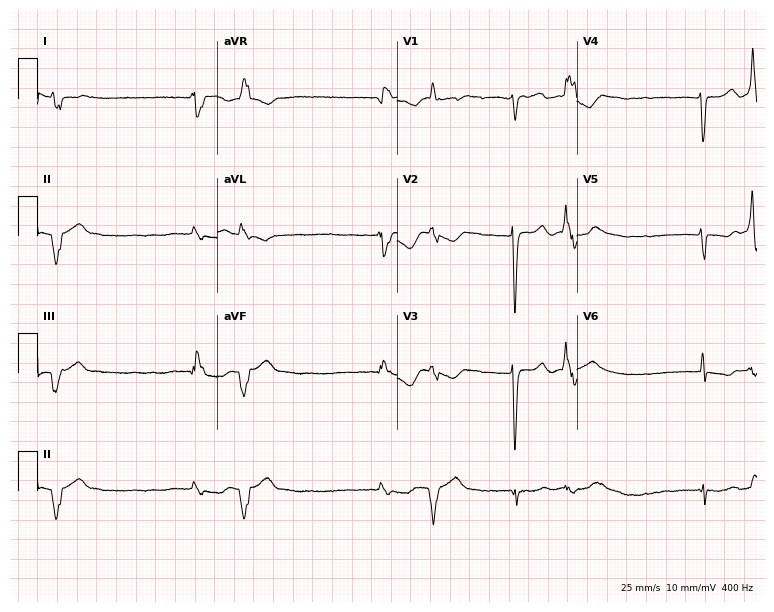
12-lead ECG from a 69-year-old male patient (7.3-second recording at 400 Hz). No first-degree AV block, right bundle branch block, left bundle branch block, sinus bradycardia, atrial fibrillation or sinus tachycardia recorded for this tracing. Other findings, if any, are not listed.